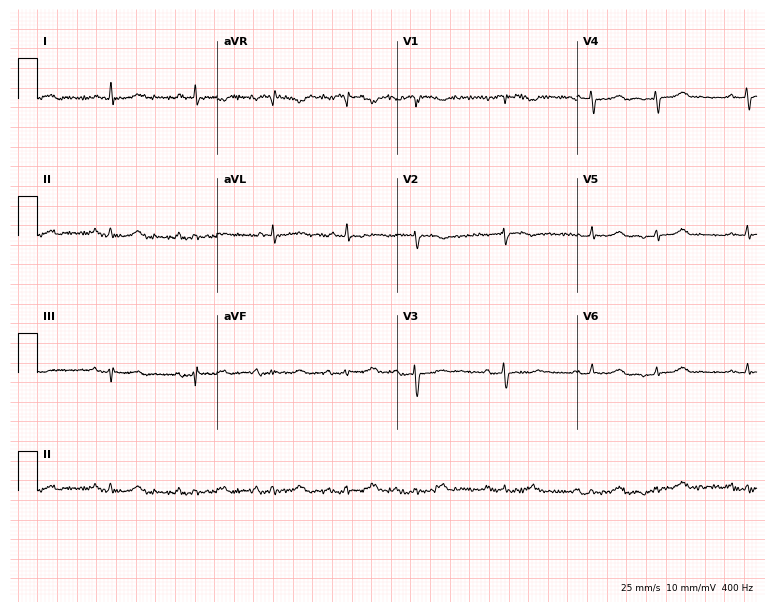
Resting 12-lead electrocardiogram. Patient: an 83-year-old female. None of these six findings is recorded: first-degree AV block, right bundle branch block, left bundle branch block, sinus bradycardia, atrial fibrillation, sinus tachycardia.